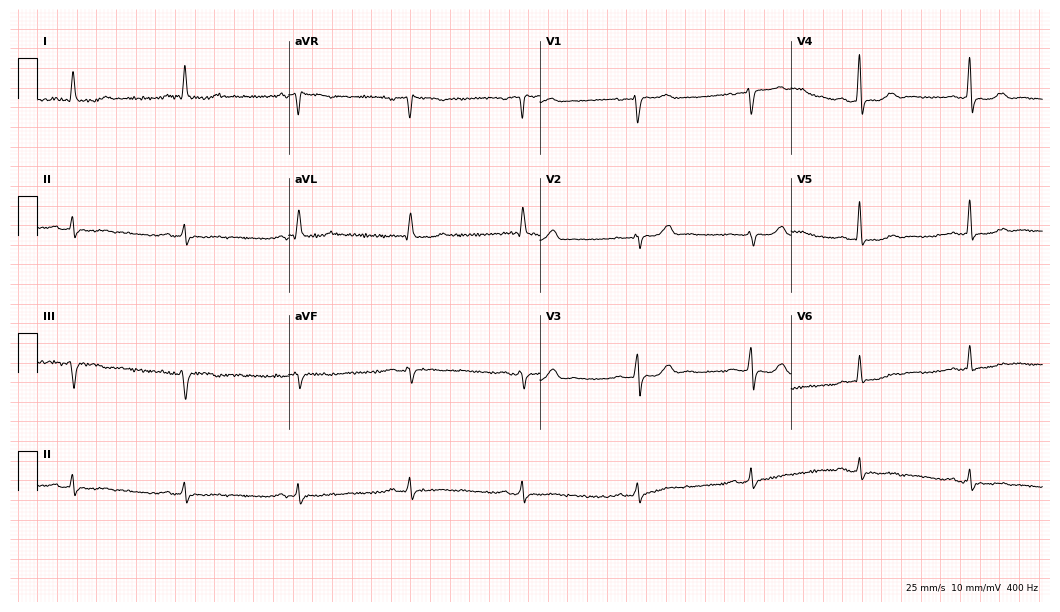
12-lead ECG (10.2-second recording at 400 Hz) from a male, 66 years old. Screened for six findings — first-degree AV block, right bundle branch block, left bundle branch block, sinus bradycardia, atrial fibrillation, sinus tachycardia — none is recorded.